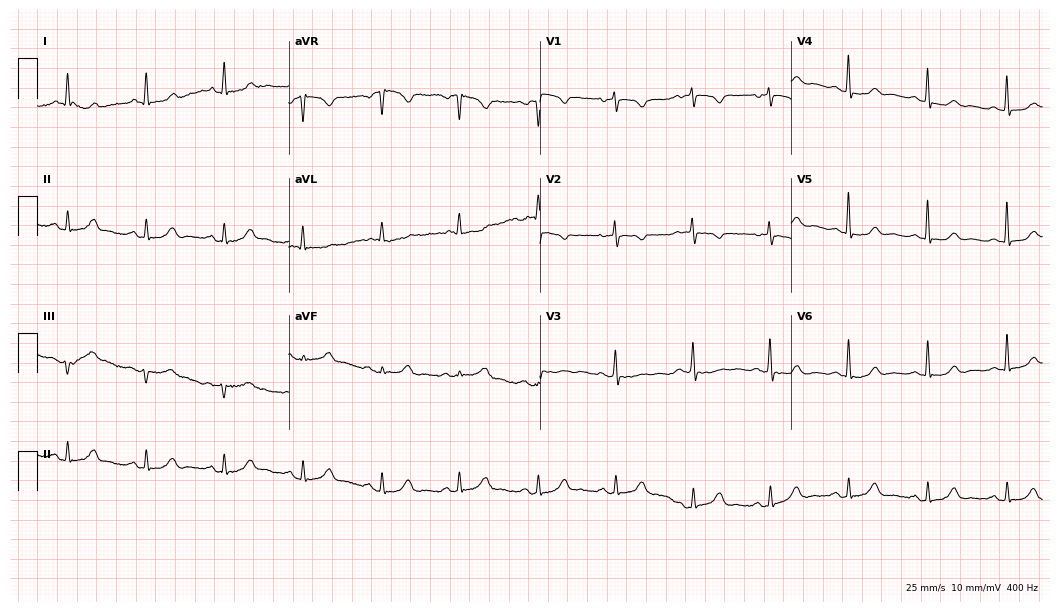
Electrocardiogram (10.2-second recording at 400 Hz), a 72-year-old female patient. Of the six screened findings (first-degree AV block, right bundle branch block, left bundle branch block, sinus bradycardia, atrial fibrillation, sinus tachycardia), none is recorded.